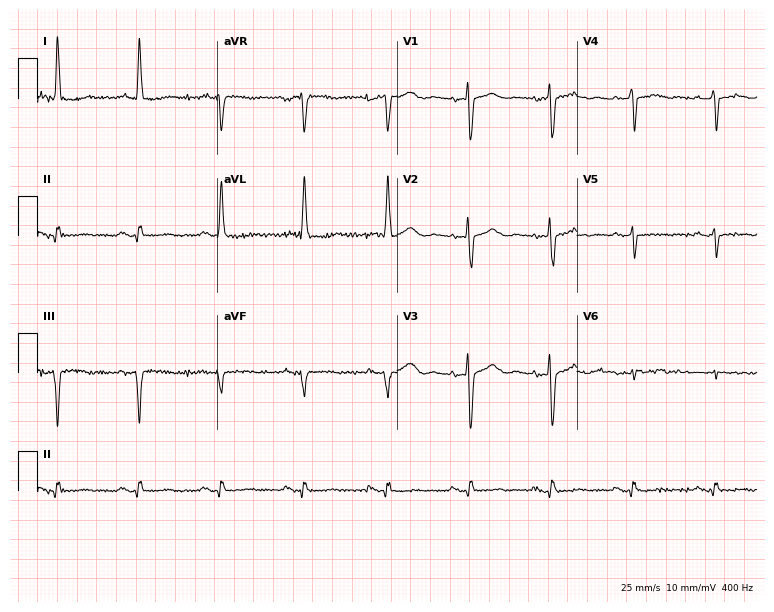
12-lead ECG (7.3-second recording at 400 Hz) from a female, 71 years old. Screened for six findings — first-degree AV block, right bundle branch block, left bundle branch block, sinus bradycardia, atrial fibrillation, sinus tachycardia — none is recorded. Other findings, if any, are not listed.